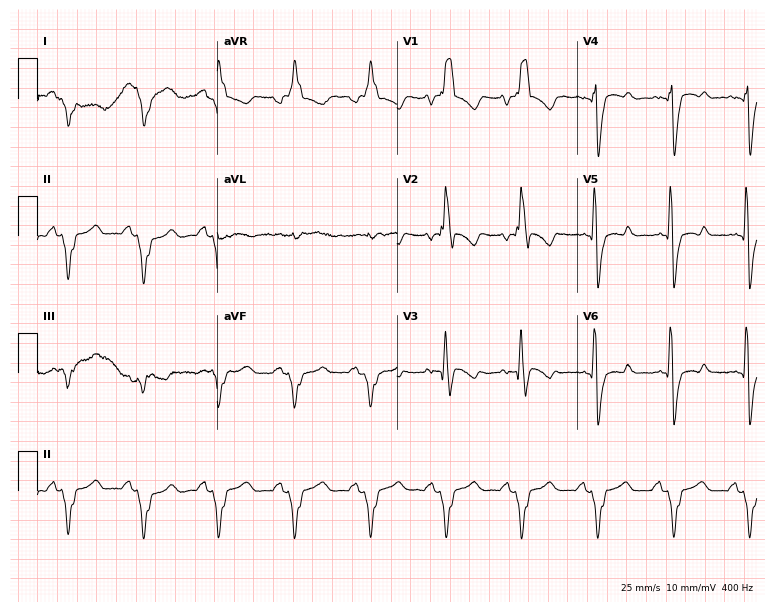
Electrocardiogram (7.3-second recording at 400 Hz), a 39-year-old male. Interpretation includes right bundle branch block (RBBB).